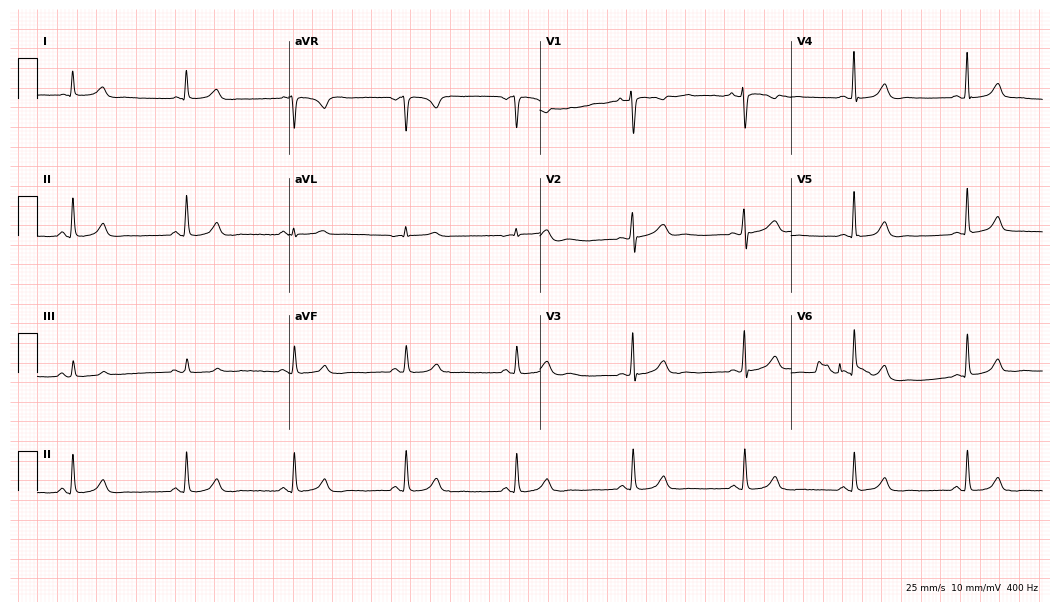
12-lead ECG from a 46-year-old female patient (10.2-second recording at 400 Hz). Recorded interpretation: within normal limits.